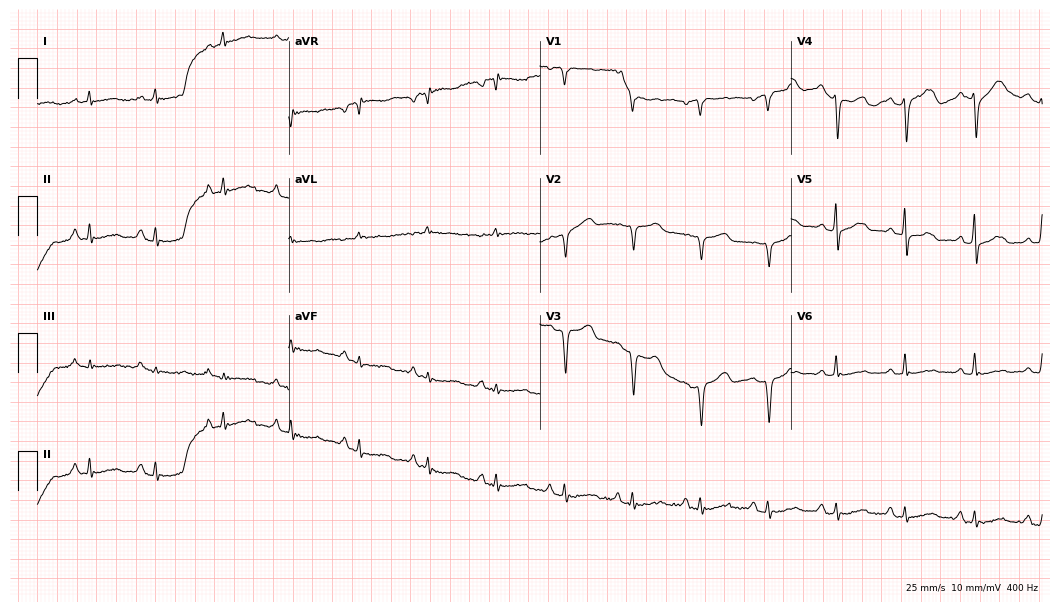
Electrocardiogram (10.2-second recording at 400 Hz), a 73-year-old female. Of the six screened findings (first-degree AV block, right bundle branch block, left bundle branch block, sinus bradycardia, atrial fibrillation, sinus tachycardia), none is recorded. Other findings, if any, are not listed.